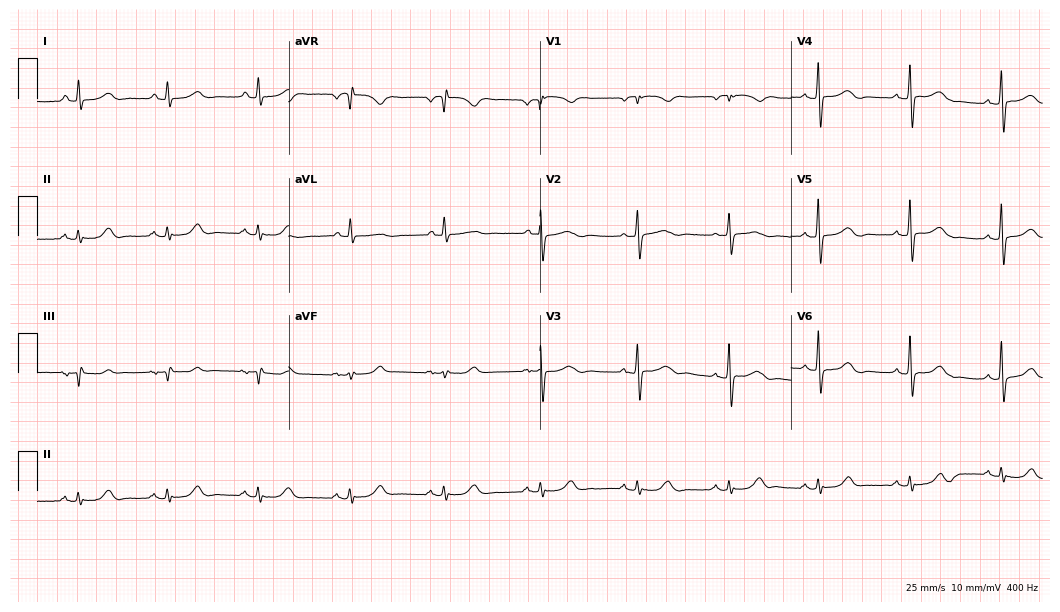
ECG (10.2-second recording at 400 Hz) — a 74-year-old female patient. Labelled as a normal ECG.